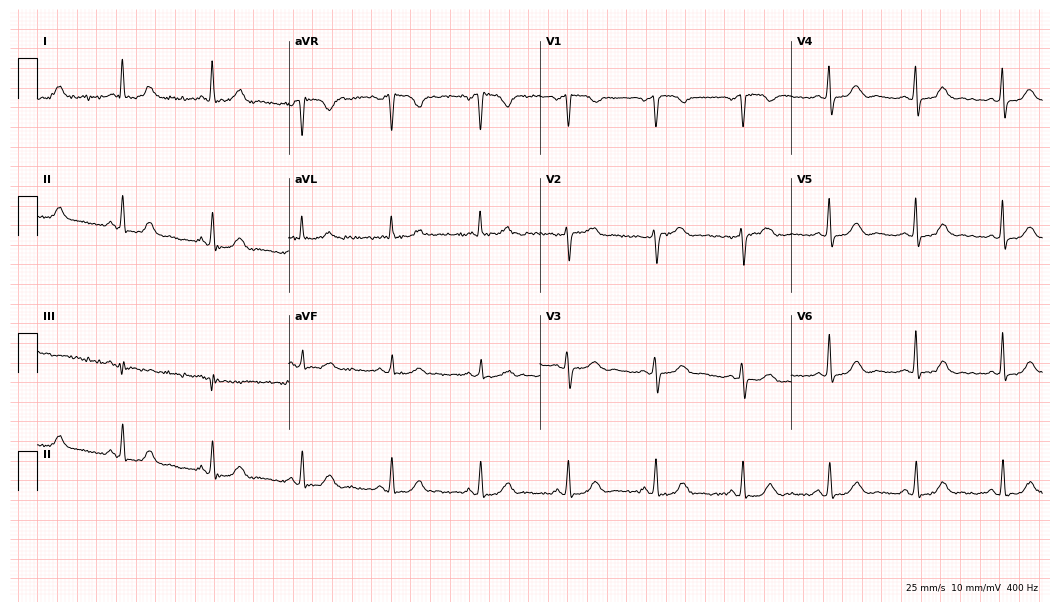
Electrocardiogram (10.2-second recording at 400 Hz), a 61-year-old female patient. Overall reading on record: normal ECG.